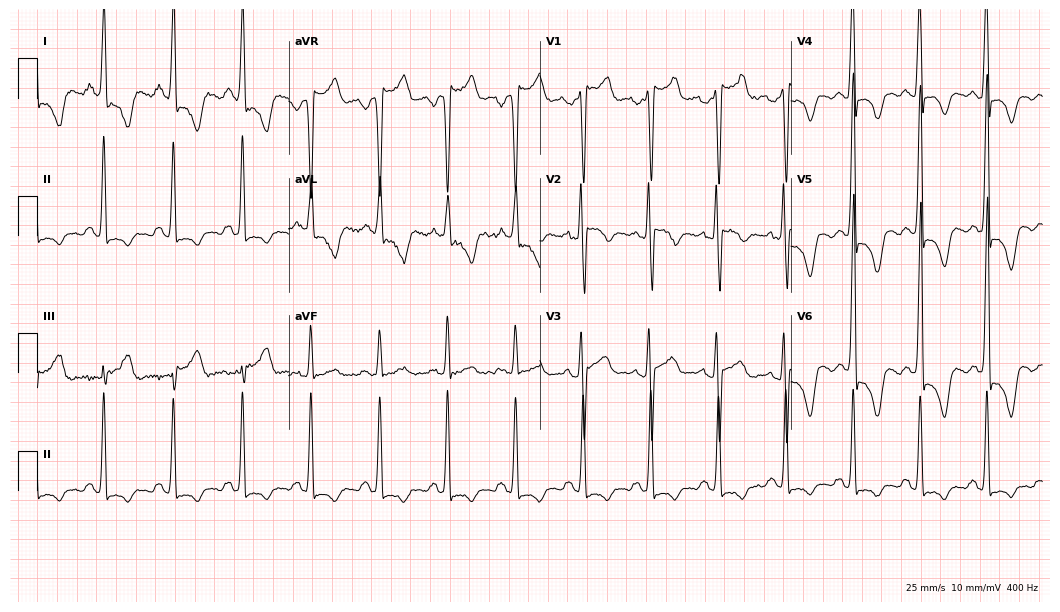
ECG — a male patient, 32 years old. Screened for six findings — first-degree AV block, right bundle branch block (RBBB), left bundle branch block (LBBB), sinus bradycardia, atrial fibrillation (AF), sinus tachycardia — none is recorded.